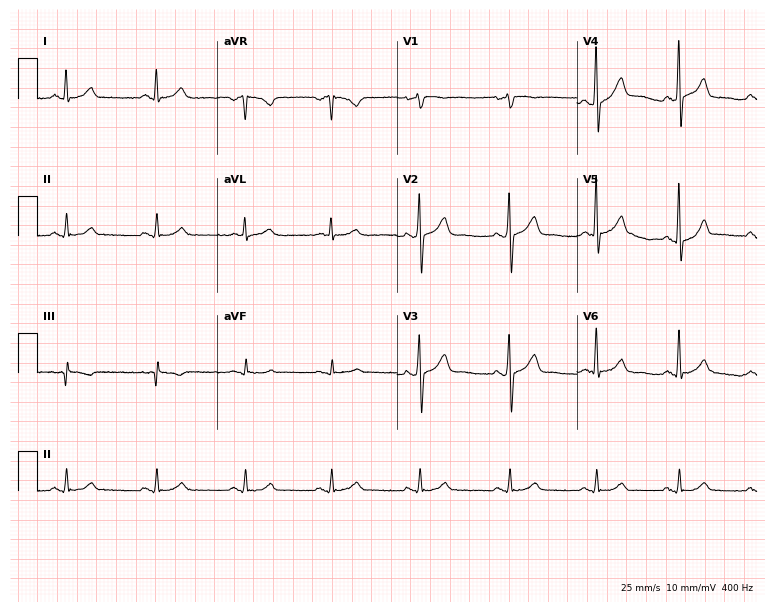
Resting 12-lead electrocardiogram. Patient: a 53-year-old man. Read as a normal ECG.